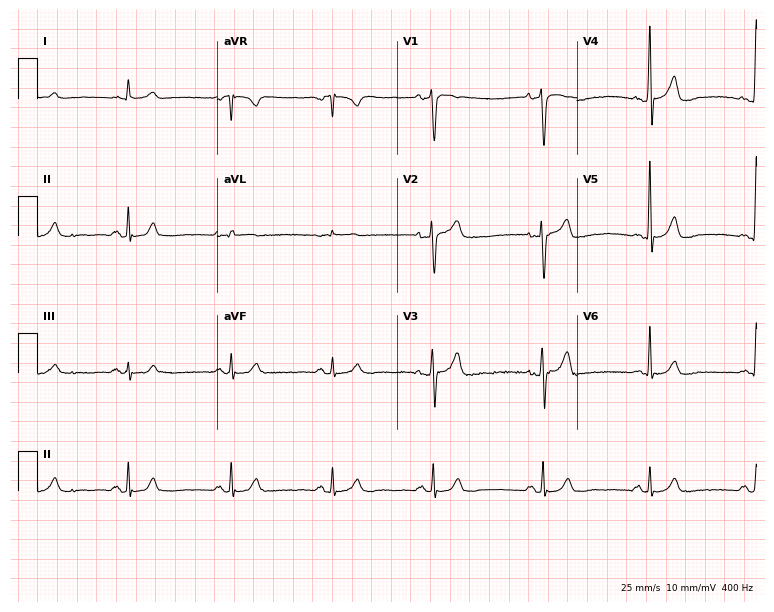
12-lead ECG from a 54-year-old male (7.3-second recording at 400 Hz). Recorded interpretation: within normal limits.